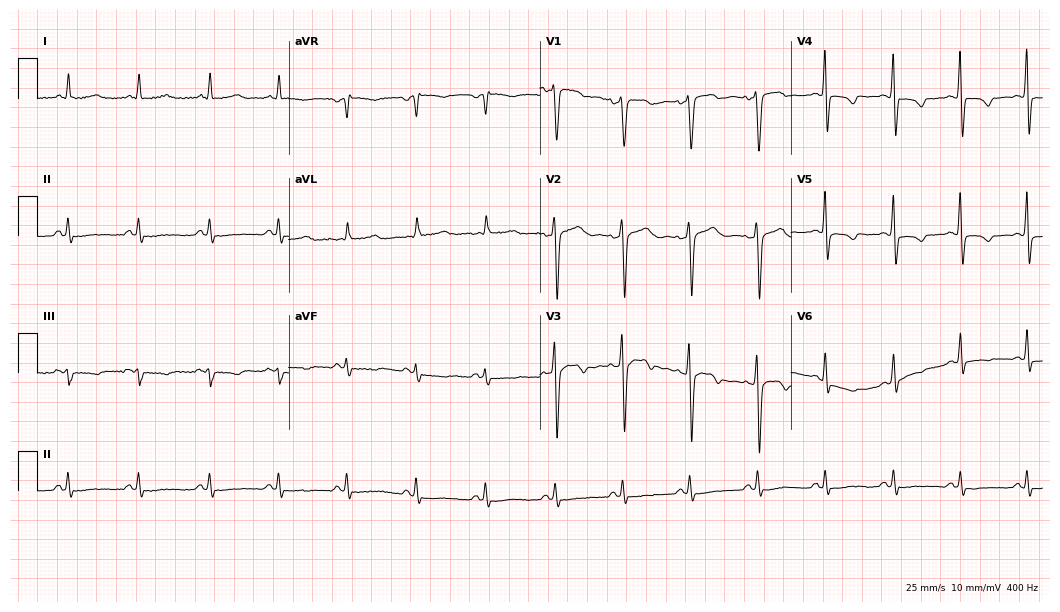
Standard 12-lead ECG recorded from a female, 56 years old (10.2-second recording at 400 Hz). None of these six findings is recorded: first-degree AV block, right bundle branch block (RBBB), left bundle branch block (LBBB), sinus bradycardia, atrial fibrillation (AF), sinus tachycardia. Only these six findings were labelled.